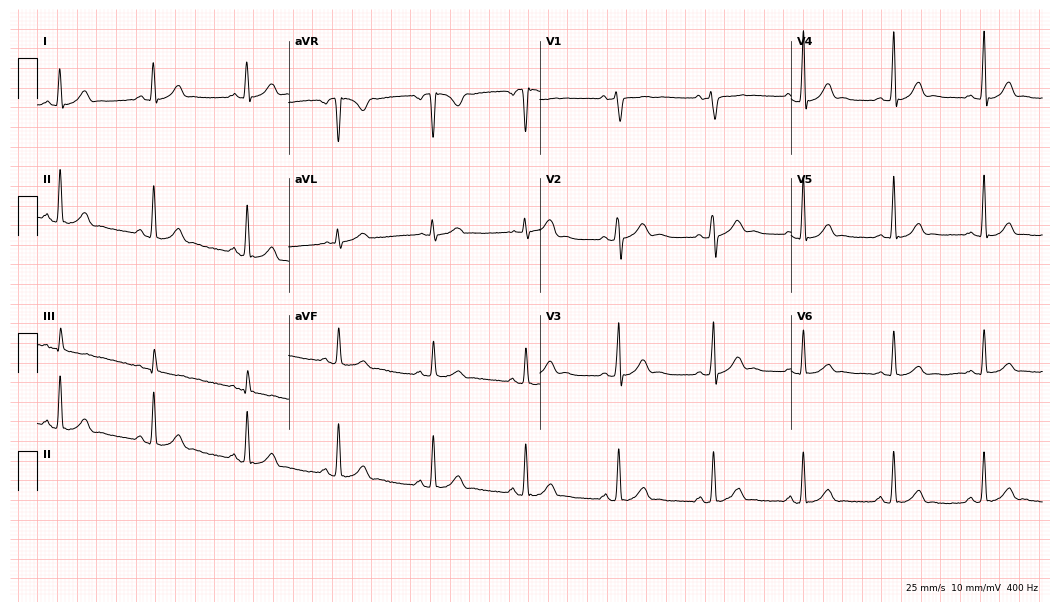
Standard 12-lead ECG recorded from a 29-year-old female patient. Read as a normal ECG.